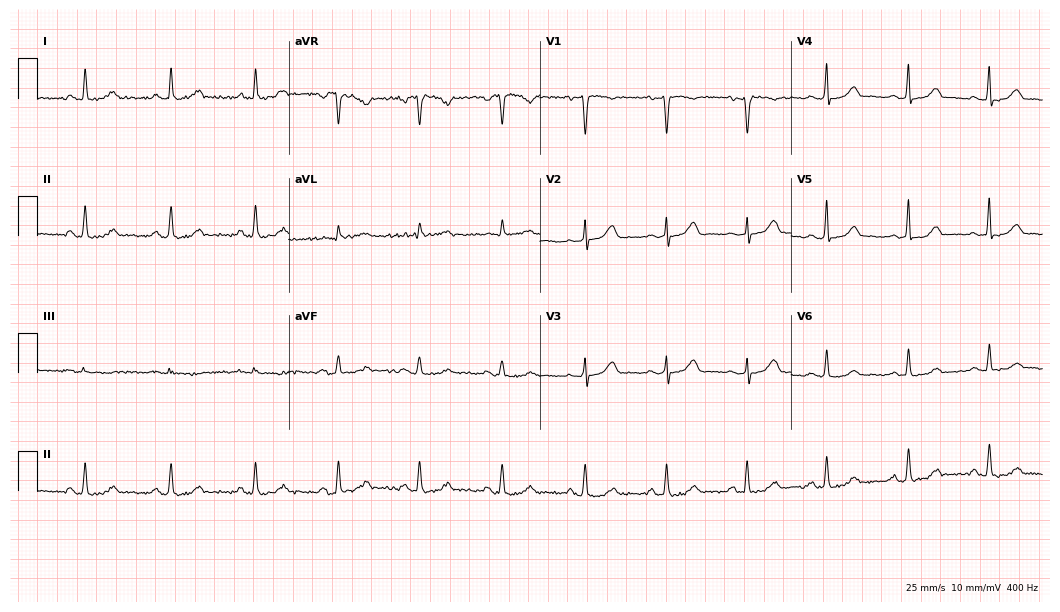
Electrocardiogram, a female patient, 43 years old. Overall reading on record: normal ECG.